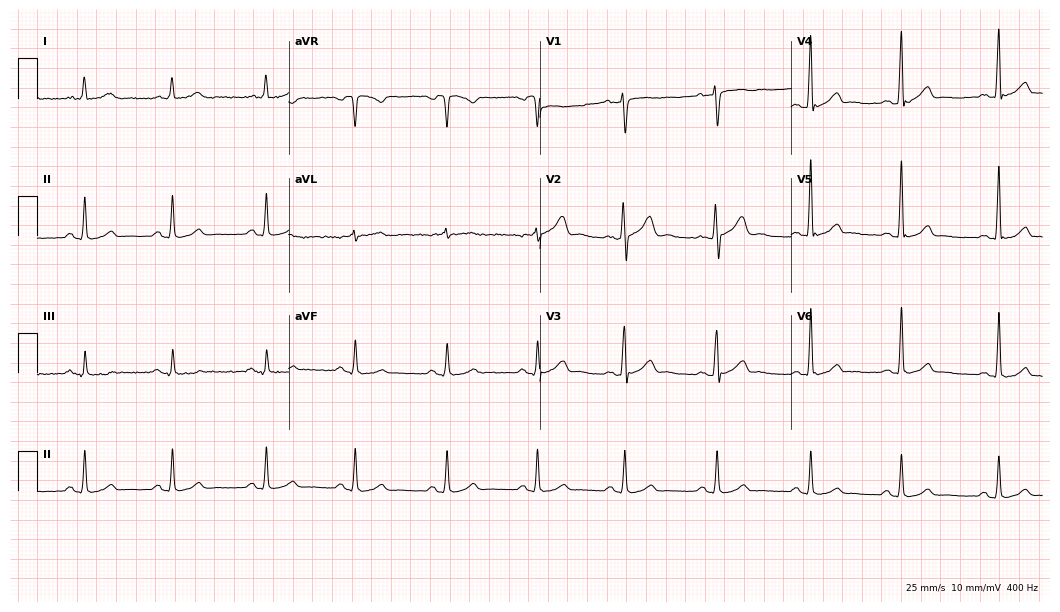
12-lead ECG from a 33-year-old man. Recorded interpretation: within normal limits.